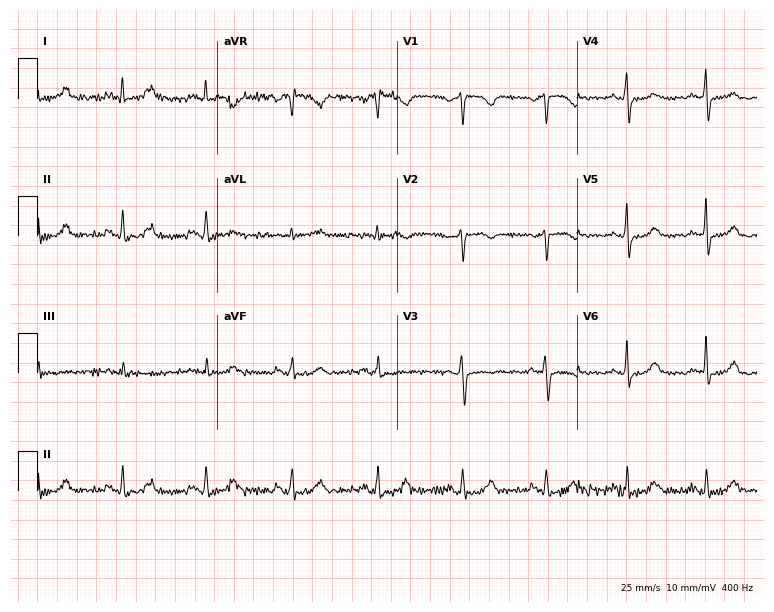
Resting 12-lead electrocardiogram (7.3-second recording at 400 Hz). Patient: a female, 50 years old. None of these six findings is recorded: first-degree AV block, right bundle branch block (RBBB), left bundle branch block (LBBB), sinus bradycardia, atrial fibrillation (AF), sinus tachycardia. Findings outside these six are not listed.